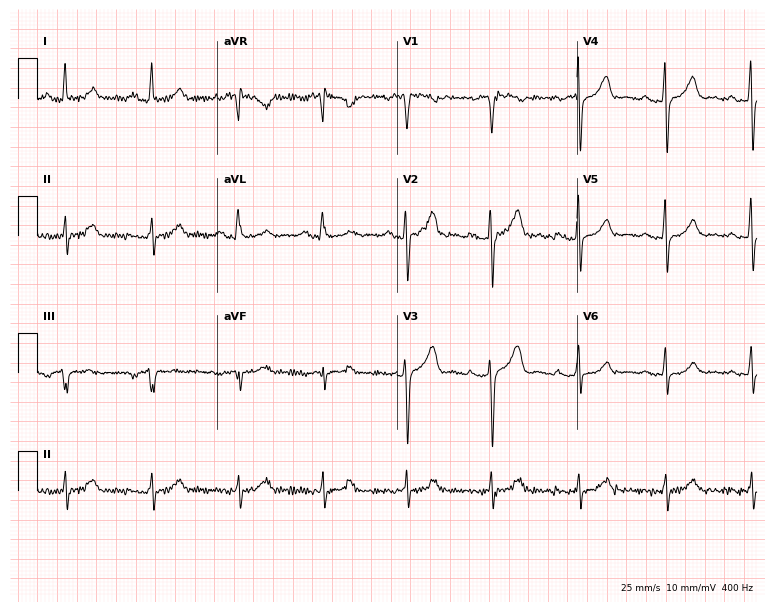
Standard 12-lead ECG recorded from a male patient, 44 years old (7.3-second recording at 400 Hz). None of these six findings is recorded: first-degree AV block, right bundle branch block (RBBB), left bundle branch block (LBBB), sinus bradycardia, atrial fibrillation (AF), sinus tachycardia.